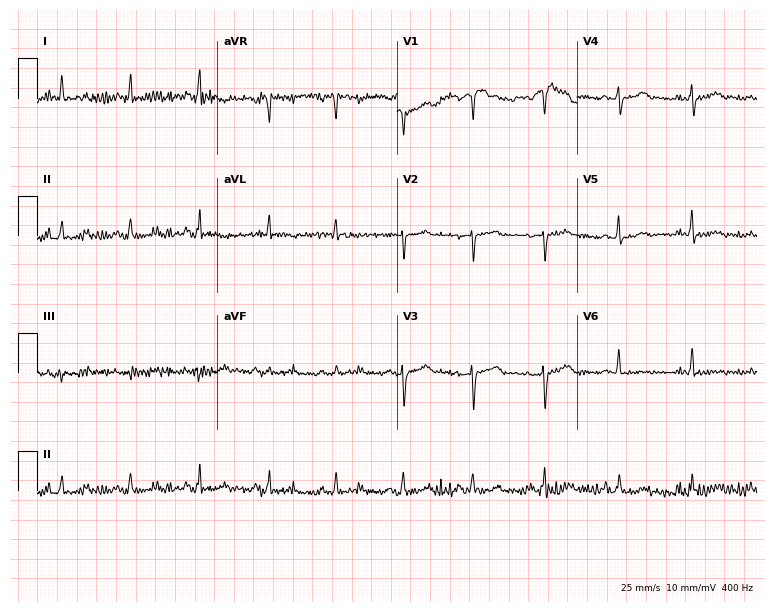
ECG — a female, 52 years old. Screened for six findings — first-degree AV block, right bundle branch block (RBBB), left bundle branch block (LBBB), sinus bradycardia, atrial fibrillation (AF), sinus tachycardia — none is recorded.